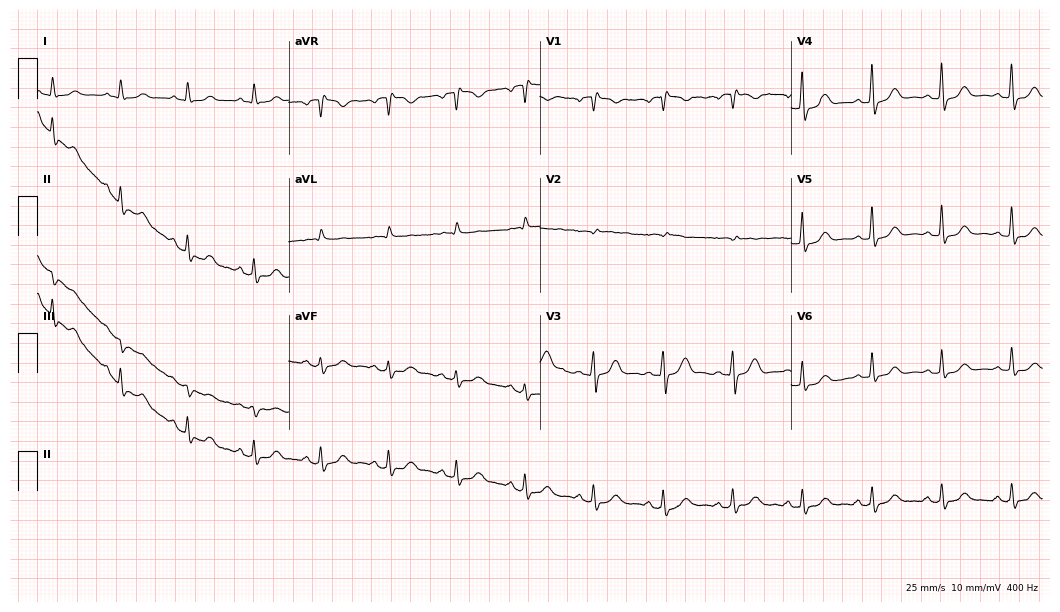
12-lead ECG from a 70-year-old woman. Screened for six findings — first-degree AV block, right bundle branch block, left bundle branch block, sinus bradycardia, atrial fibrillation, sinus tachycardia — none is recorded.